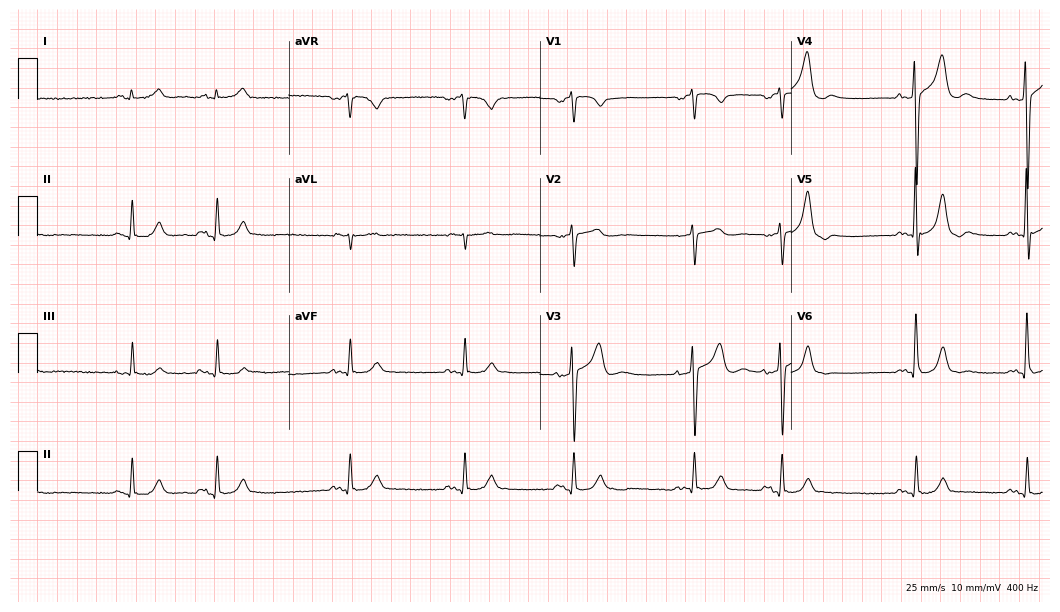
12-lead ECG (10.2-second recording at 400 Hz) from a male patient, 70 years old. Screened for six findings — first-degree AV block, right bundle branch block, left bundle branch block, sinus bradycardia, atrial fibrillation, sinus tachycardia — none is recorded. Other findings, if any, are not listed.